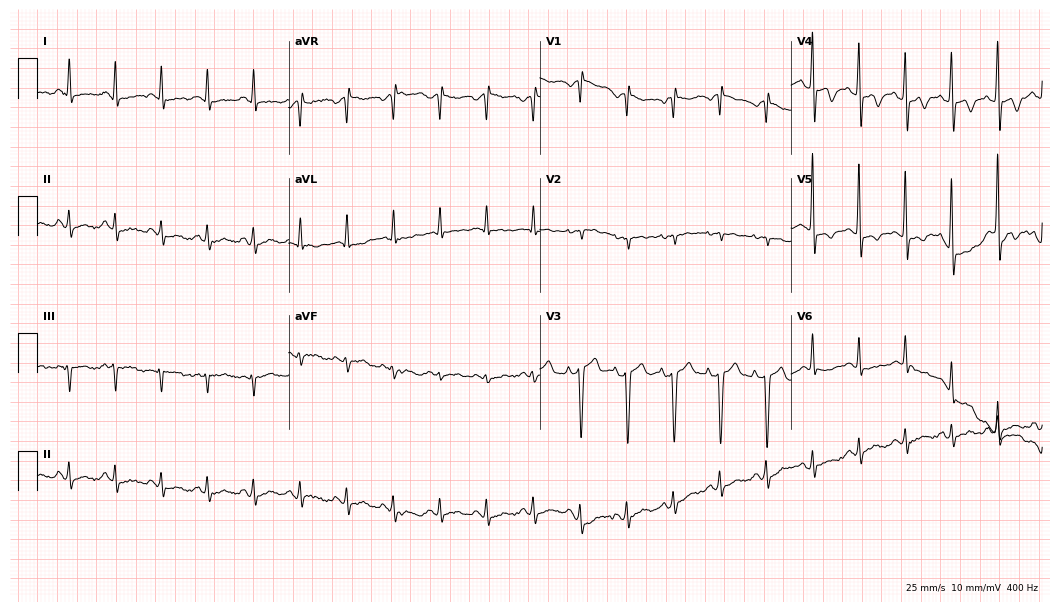
12-lead ECG from a 52-year-old female. Screened for six findings — first-degree AV block, right bundle branch block, left bundle branch block, sinus bradycardia, atrial fibrillation, sinus tachycardia — none is recorded.